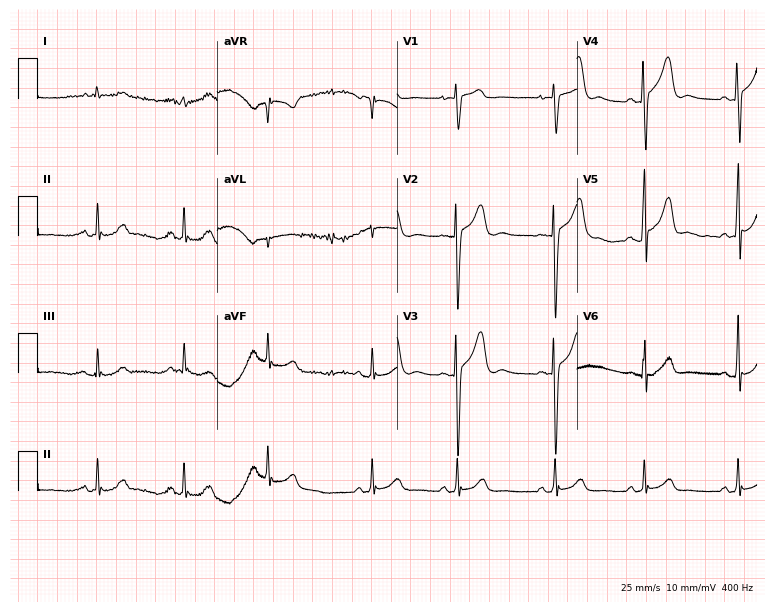
12-lead ECG from a male patient, 18 years old. Screened for six findings — first-degree AV block, right bundle branch block, left bundle branch block, sinus bradycardia, atrial fibrillation, sinus tachycardia — none is recorded. Findings outside these six are not listed.